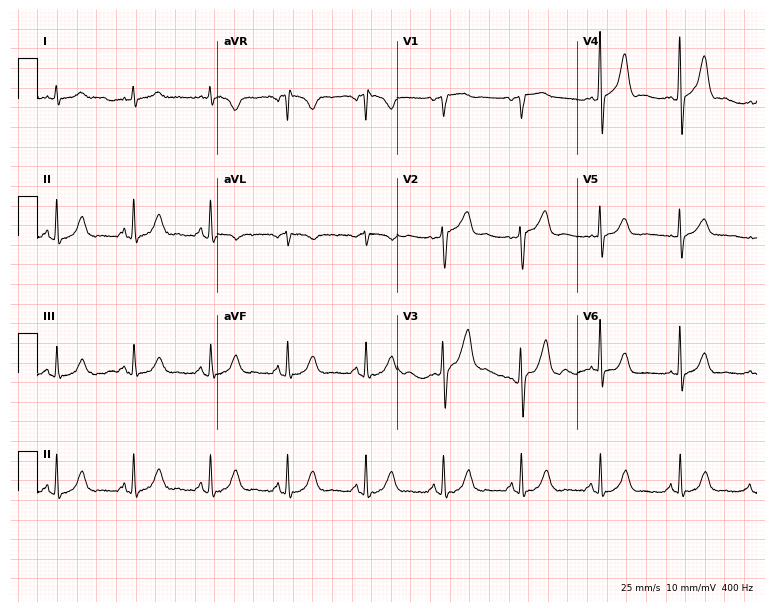
ECG (7.3-second recording at 400 Hz) — a male patient, 60 years old. Labelled as a normal ECG.